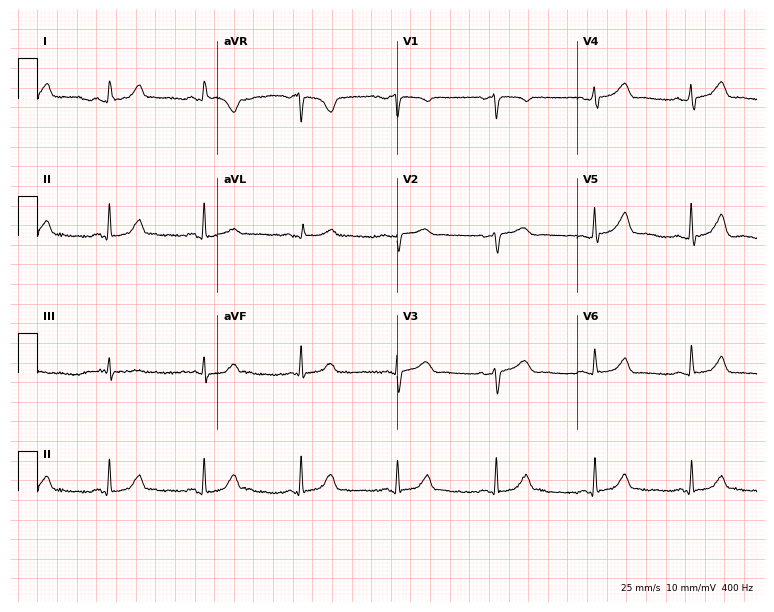
ECG — a 52-year-old female patient. Labelled as a normal ECG.